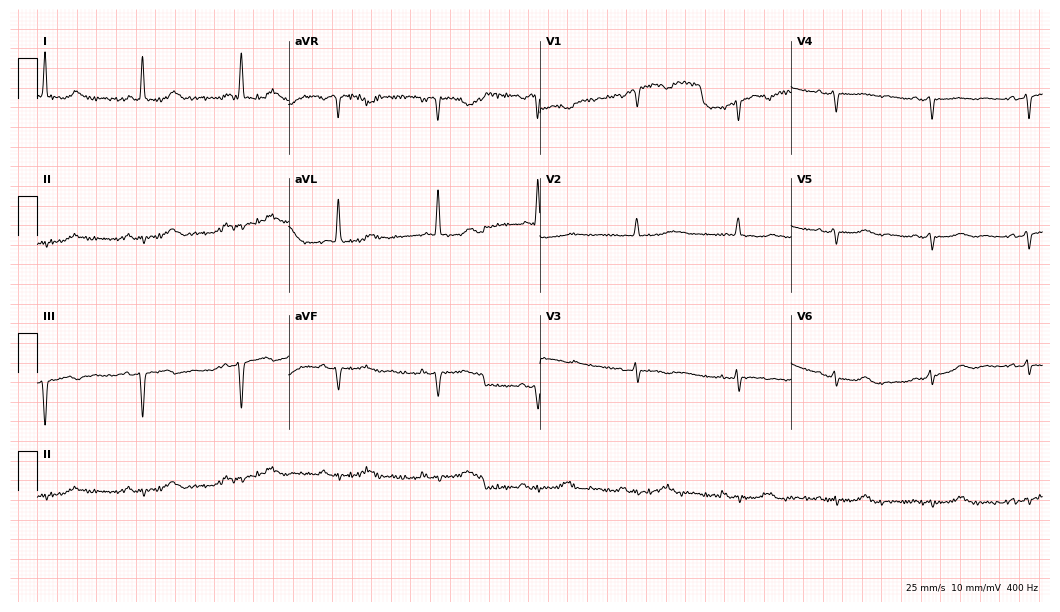
Resting 12-lead electrocardiogram (10.2-second recording at 400 Hz). Patient: a 74-year-old woman. None of these six findings is recorded: first-degree AV block, right bundle branch block, left bundle branch block, sinus bradycardia, atrial fibrillation, sinus tachycardia.